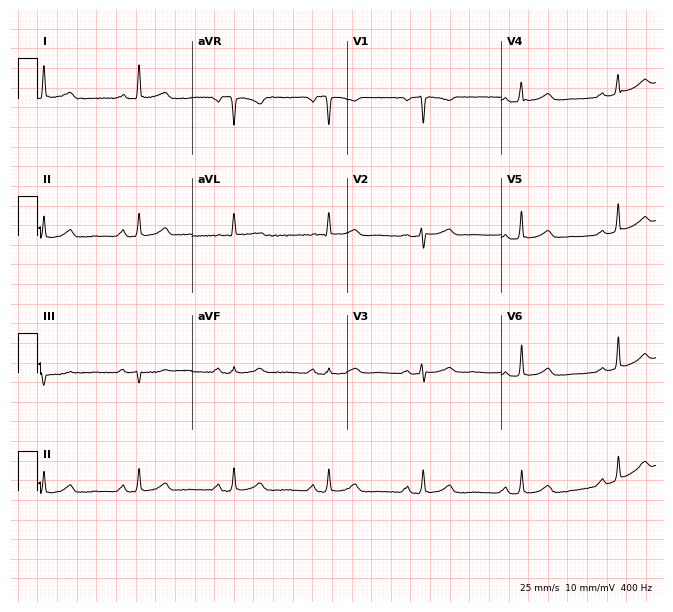
Electrocardiogram (6.3-second recording at 400 Hz), a 59-year-old female. Overall reading on record: normal ECG.